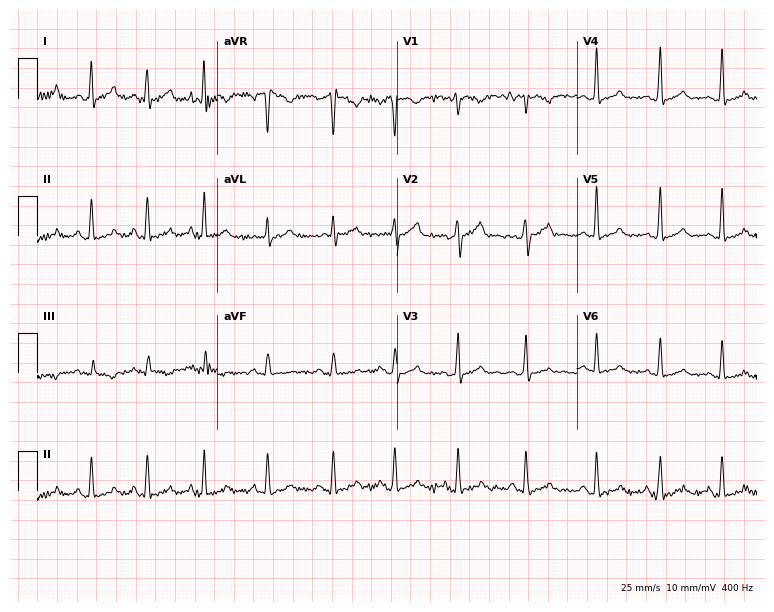
Resting 12-lead electrocardiogram. Patient: a 19-year-old female. None of these six findings is recorded: first-degree AV block, right bundle branch block, left bundle branch block, sinus bradycardia, atrial fibrillation, sinus tachycardia.